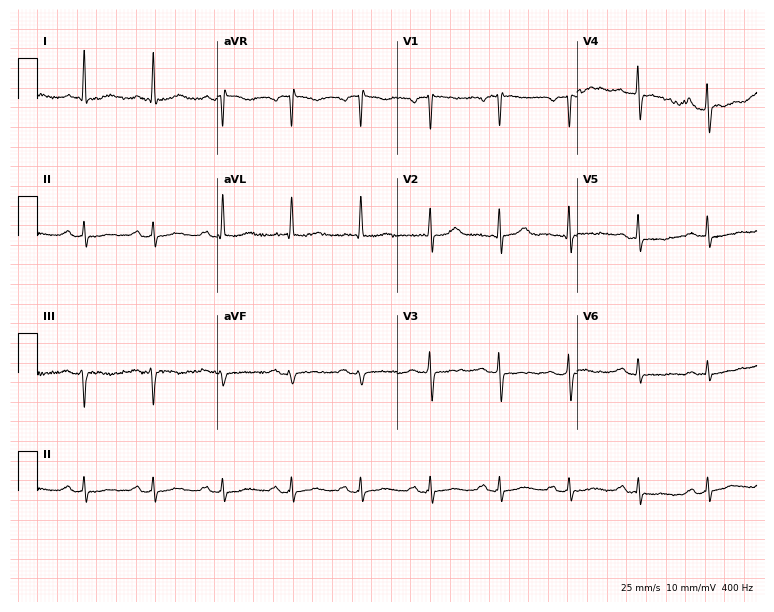
12-lead ECG from a 23-year-old female patient (7.3-second recording at 400 Hz). Recorded interpretation: within normal limits.